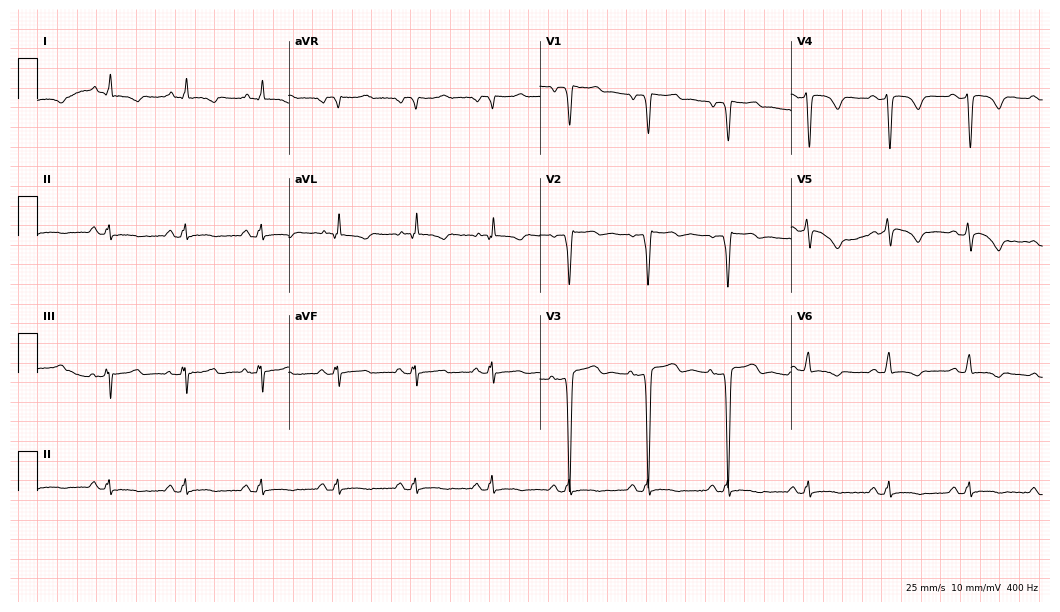
Standard 12-lead ECG recorded from a man, 64 years old. None of these six findings is recorded: first-degree AV block, right bundle branch block (RBBB), left bundle branch block (LBBB), sinus bradycardia, atrial fibrillation (AF), sinus tachycardia. Findings outside these six are not listed.